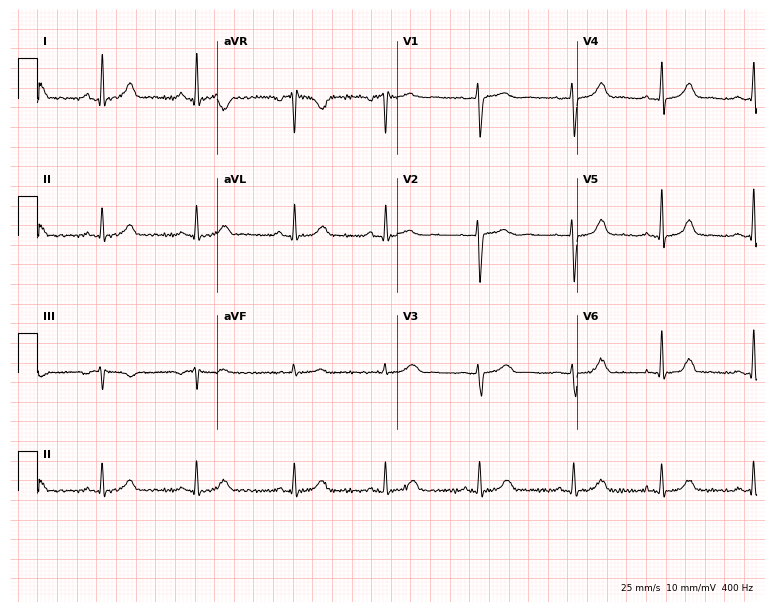
12-lead ECG from a 45-year-old female patient. No first-degree AV block, right bundle branch block (RBBB), left bundle branch block (LBBB), sinus bradycardia, atrial fibrillation (AF) or sinus tachycardia recorded for this tracing.